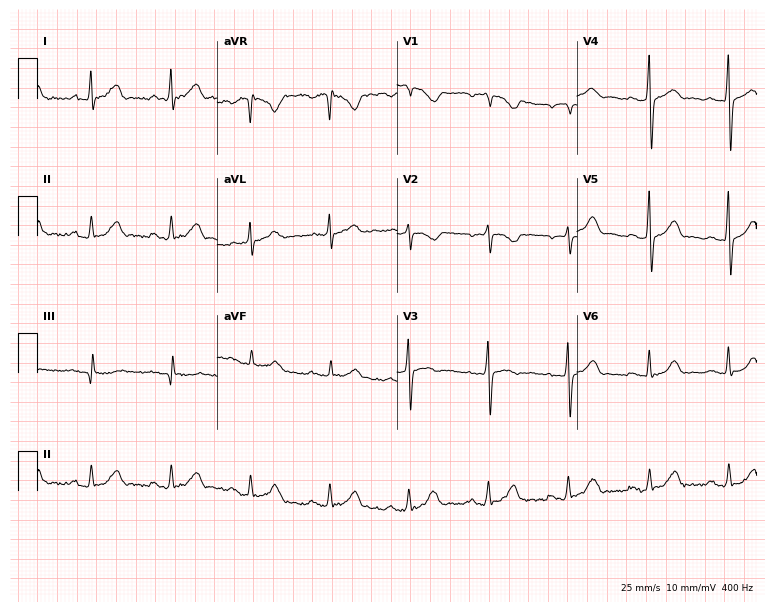
Standard 12-lead ECG recorded from a 43-year-old woman (7.3-second recording at 400 Hz). None of these six findings is recorded: first-degree AV block, right bundle branch block, left bundle branch block, sinus bradycardia, atrial fibrillation, sinus tachycardia. Only these six findings were labelled.